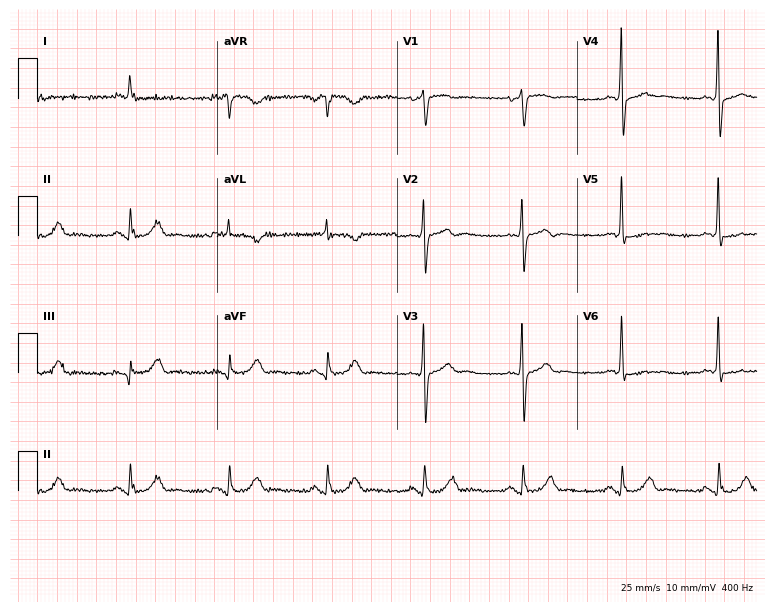
Standard 12-lead ECG recorded from a 71-year-old male (7.3-second recording at 400 Hz). None of these six findings is recorded: first-degree AV block, right bundle branch block, left bundle branch block, sinus bradycardia, atrial fibrillation, sinus tachycardia.